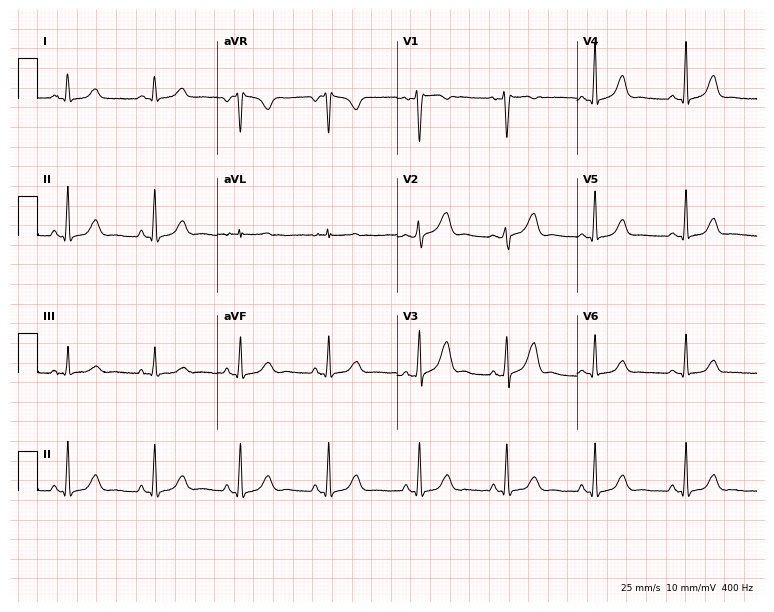
ECG (7.3-second recording at 400 Hz) — a 41-year-old female. Labelled as a normal ECG.